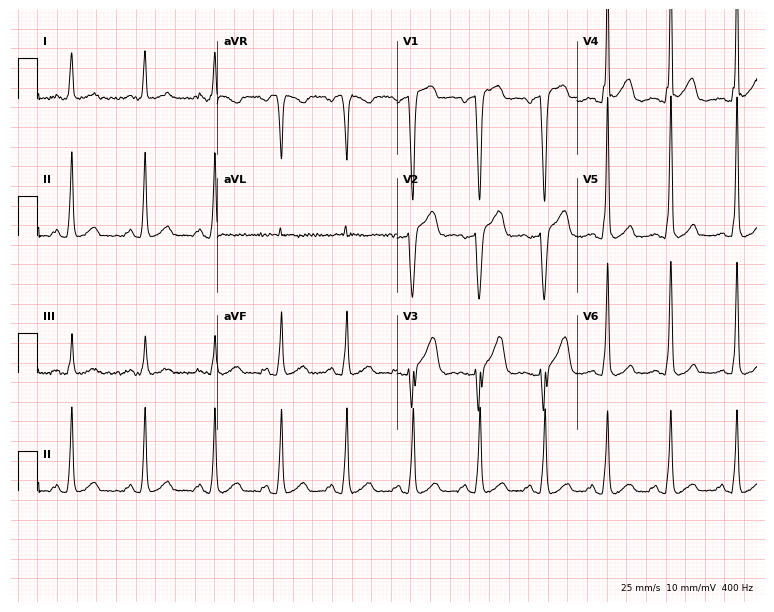
12-lead ECG (7.3-second recording at 400 Hz) from a 48-year-old woman. Findings include left bundle branch block (LBBB).